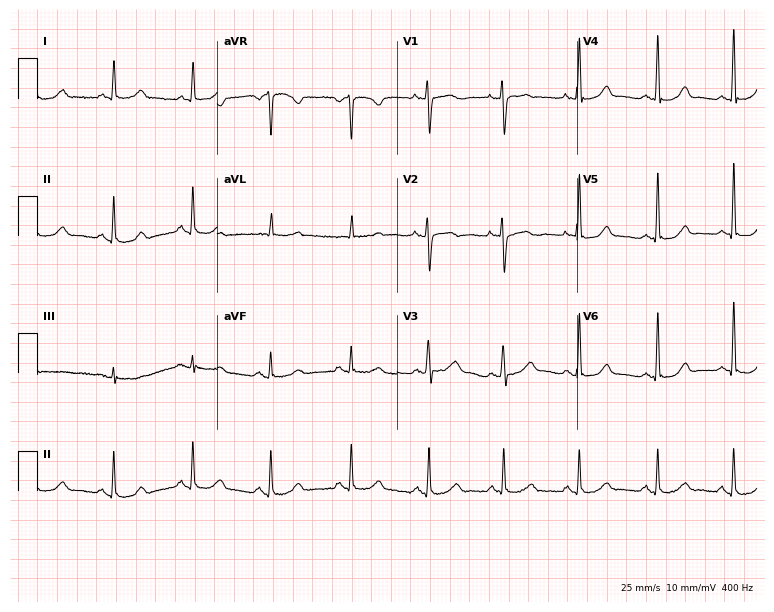
12-lead ECG from a 58-year-old female patient. Labelled as a normal ECG.